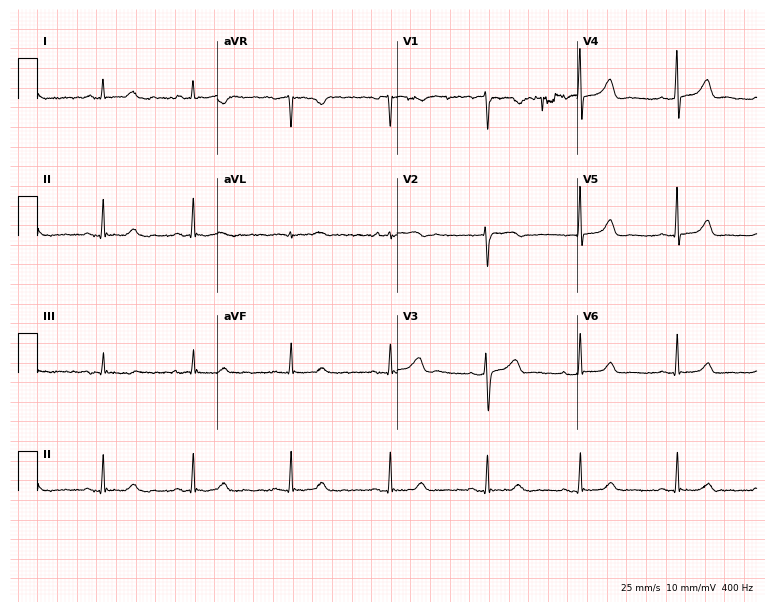
12-lead ECG from a female patient, 38 years old. Recorded interpretation: within normal limits.